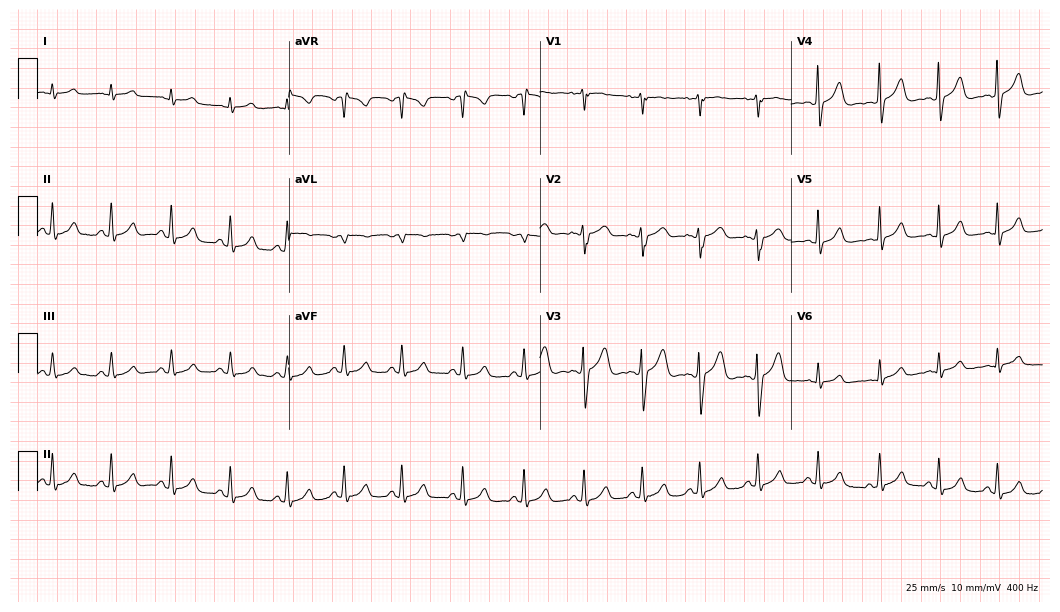
Resting 12-lead electrocardiogram (10.2-second recording at 400 Hz). Patient: a 19-year-old male. Read as a normal ECG.